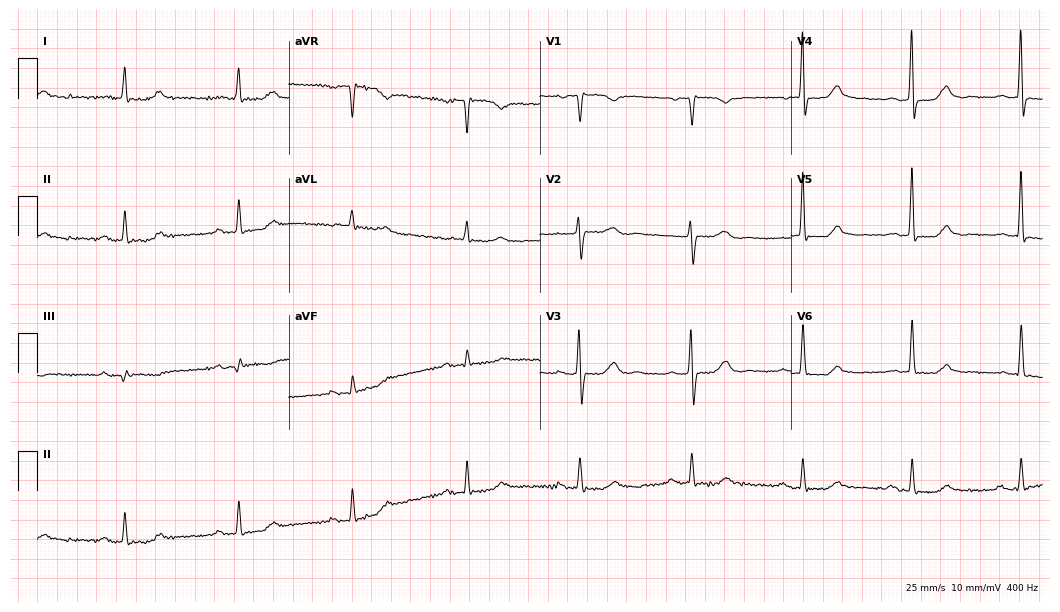
Standard 12-lead ECG recorded from a woman, 68 years old. None of these six findings is recorded: first-degree AV block, right bundle branch block (RBBB), left bundle branch block (LBBB), sinus bradycardia, atrial fibrillation (AF), sinus tachycardia. Other findings, if any, are not listed.